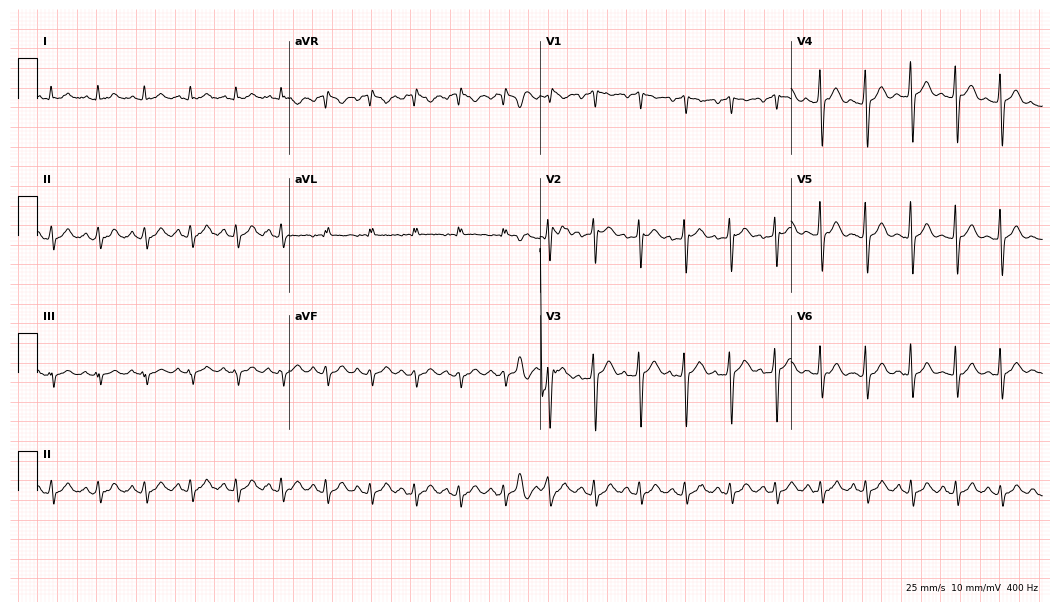
Electrocardiogram (10.2-second recording at 400 Hz), a male, 45 years old. Interpretation includes sinus tachycardia (a sinus rate of 100 beats per minute or more).